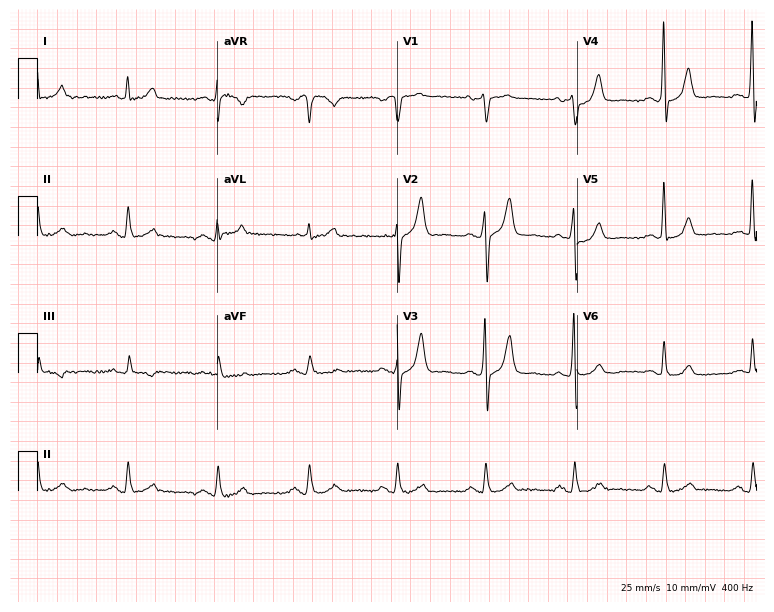
Electrocardiogram (7.3-second recording at 400 Hz), a 72-year-old man. Of the six screened findings (first-degree AV block, right bundle branch block, left bundle branch block, sinus bradycardia, atrial fibrillation, sinus tachycardia), none is recorded. Other findings, if any, are not listed.